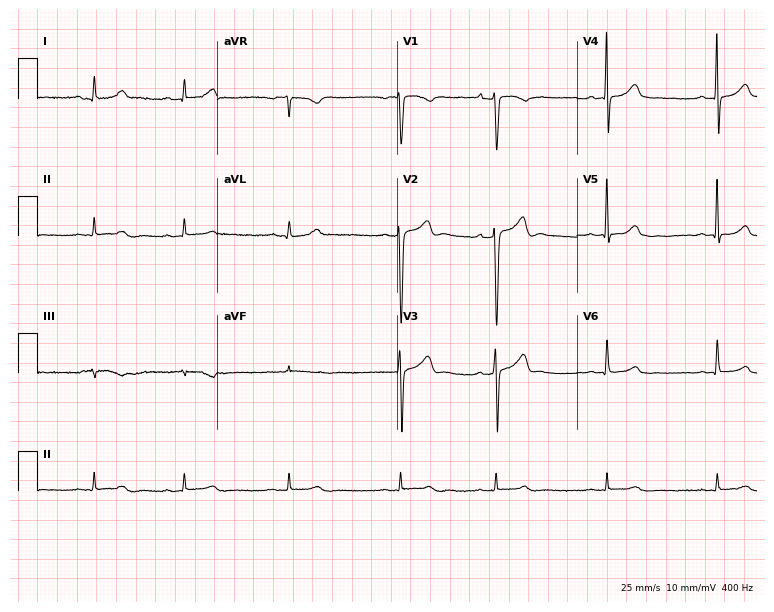
ECG — a male, 29 years old. Labelled as a normal ECG.